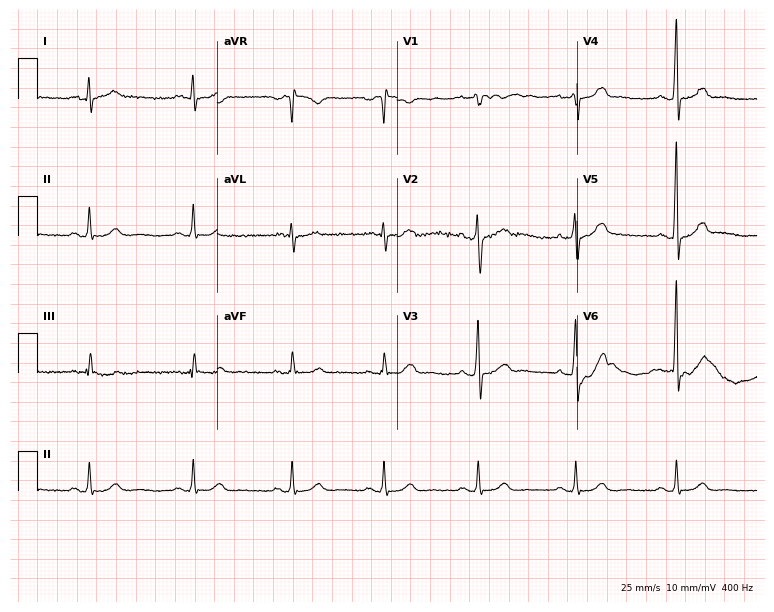
Resting 12-lead electrocardiogram. Patient: a man, 36 years old. Read as a normal ECG.